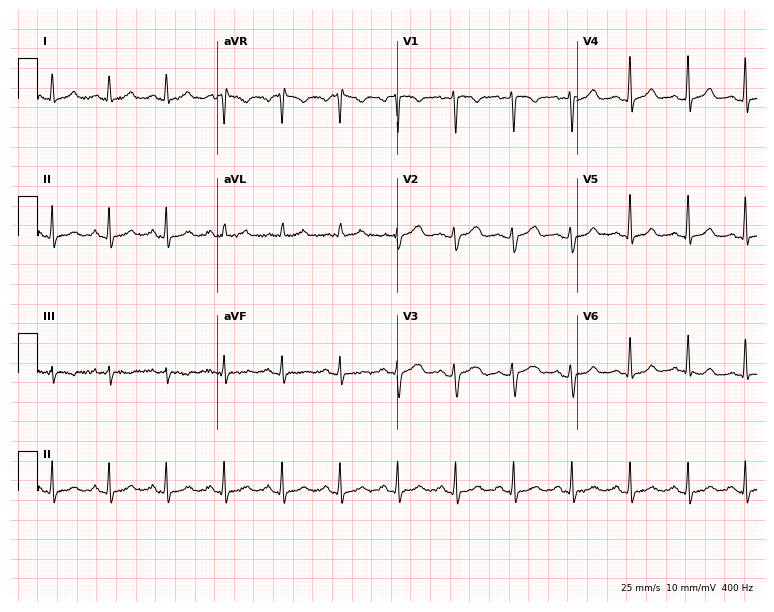
Standard 12-lead ECG recorded from a female patient, 42 years old (7.3-second recording at 400 Hz). The tracing shows sinus tachycardia (a sinus rate of 100 beats per minute or more).